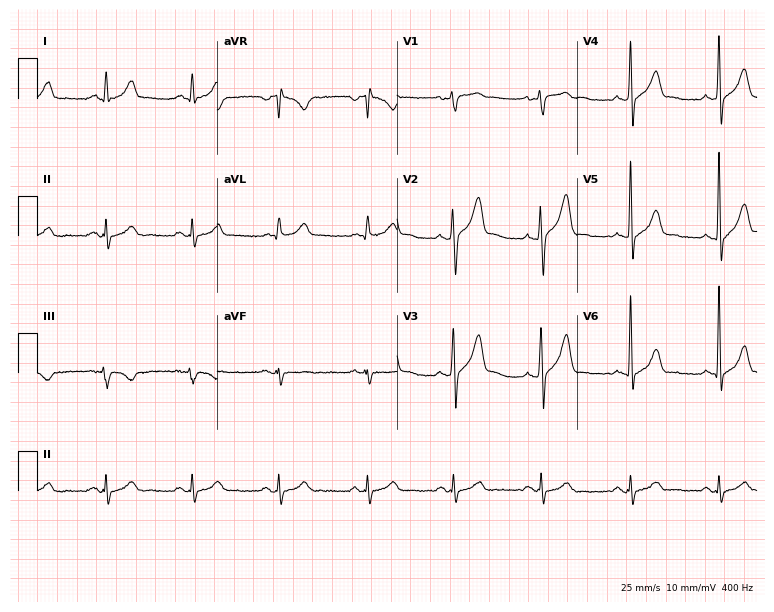
Resting 12-lead electrocardiogram. Patient: a man, 51 years old. Read as a normal ECG.